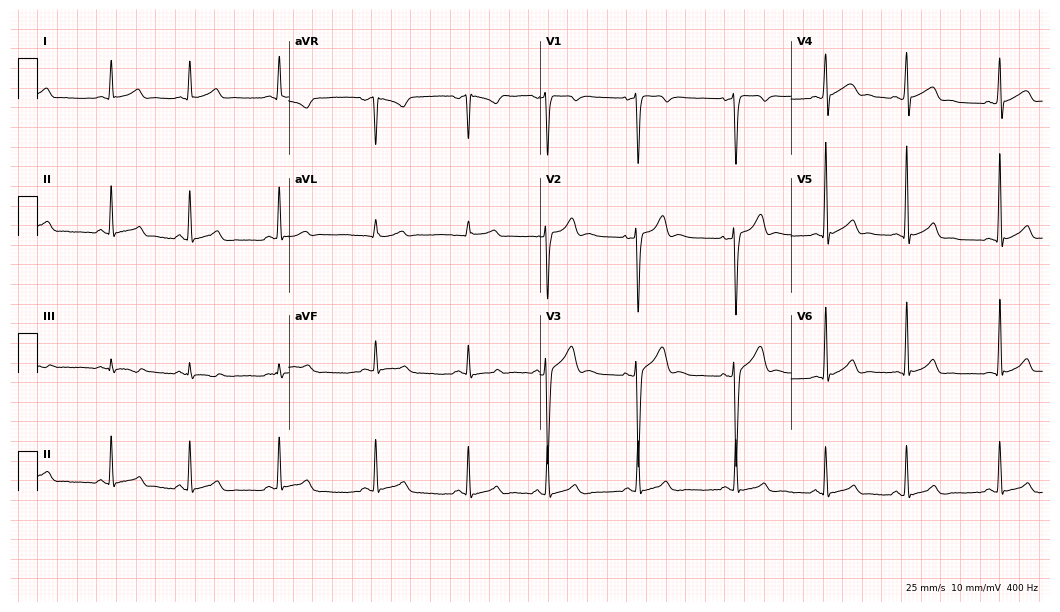
Resting 12-lead electrocardiogram (10.2-second recording at 400 Hz). Patient: a man, 30 years old. Read as a normal ECG.